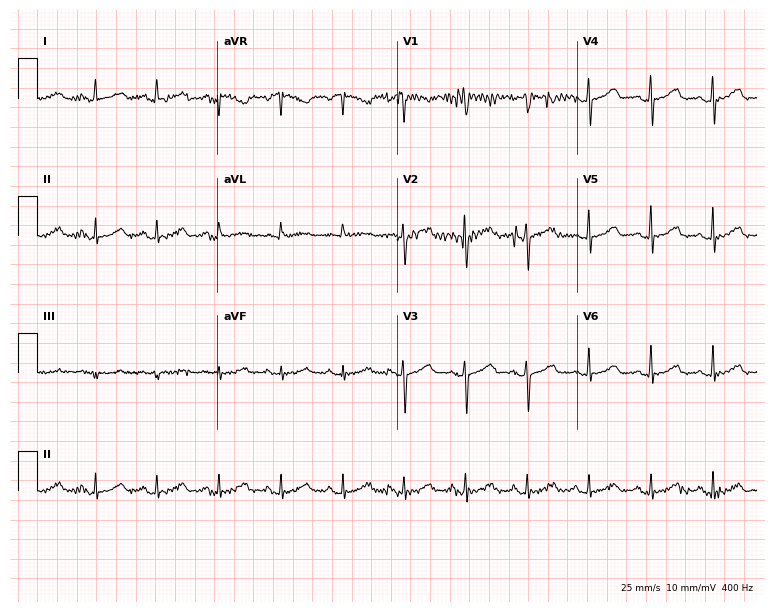
12-lead ECG from a female, 67 years old. Recorded interpretation: within normal limits.